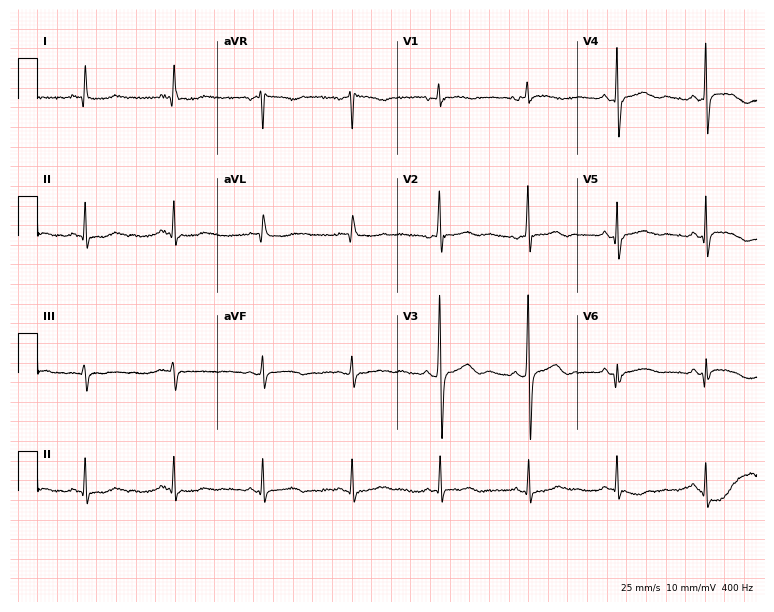
12-lead ECG from a female patient, 74 years old. No first-degree AV block, right bundle branch block, left bundle branch block, sinus bradycardia, atrial fibrillation or sinus tachycardia recorded for this tracing. Findings outside these six are not listed.